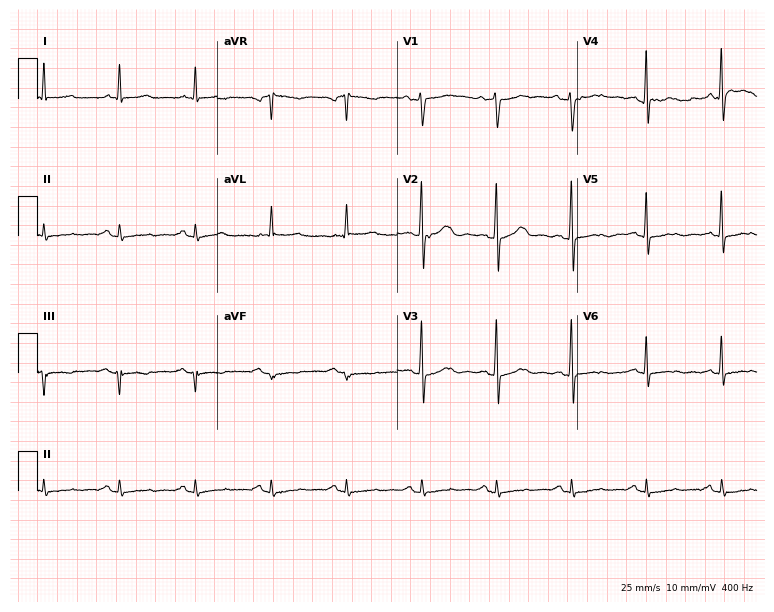
12-lead ECG (7.3-second recording at 400 Hz) from a man, 72 years old. Screened for six findings — first-degree AV block, right bundle branch block, left bundle branch block, sinus bradycardia, atrial fibrillation, sinus tachycardia — none is recorded. Other findings, if any, are not listed.